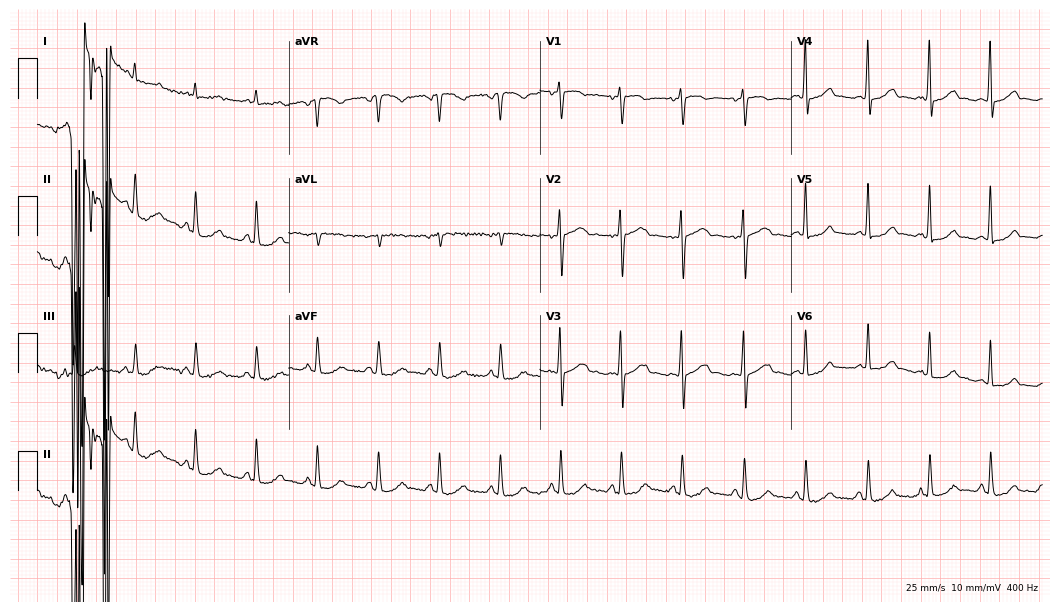
ECG (10.2-second recording at 400 Hz) — a 52-year-old female. Screened for six findings — first-degree AV block, right bundle branch block (RBBB), left bundle branch block (LBBB), sinus bradycardia, atrial fibrillation (AF), sinus tachycardia — none is recorded.